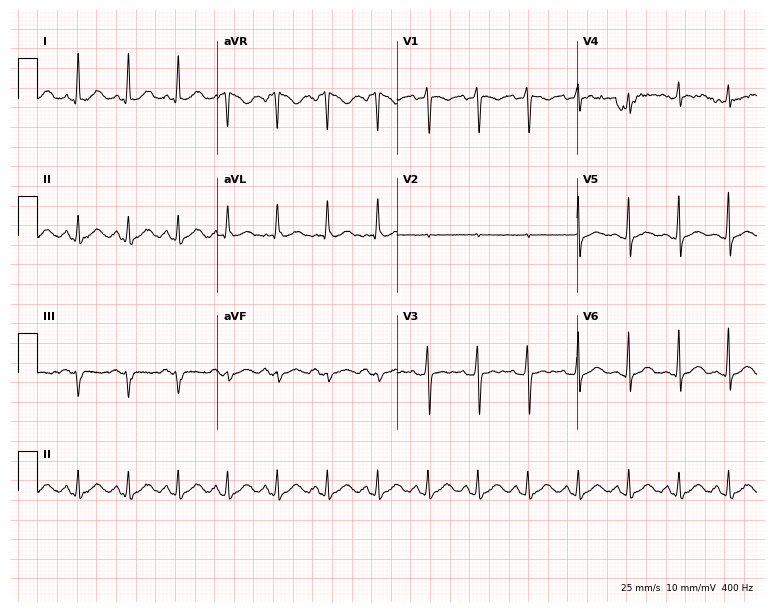
Resting 12-lead electrocardiogram (7.3-second recording at 400 Hz). Patient: a female, 30 years old. The tracing shows sinus tachycardia (a sinus rate of 100 beats per minute or more).